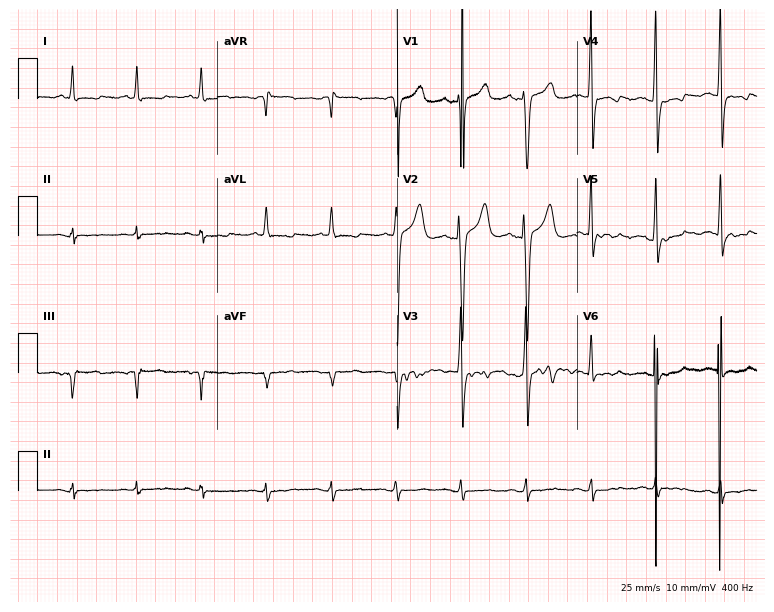
Electrocardiogram (7.3-second recording at 400 Hz), a 59-year-old male. Of the six screened findings (first-degree AV block, right bundle branch block, left bundle branch block, sinus bradycardia, atrial fibrillation, sinus tachycardia), none is recorded. Other findings, if any, are not listed.